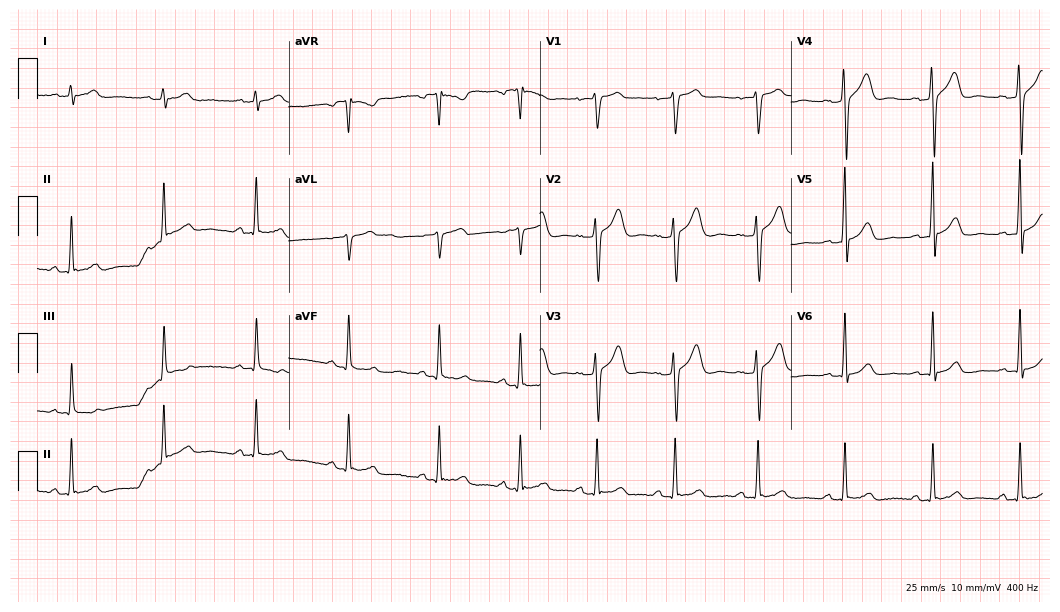
Electrocardiogram (10.2-second recording at 400 Hz), a man, 27 years old. Overall reading on record: normal ECG.